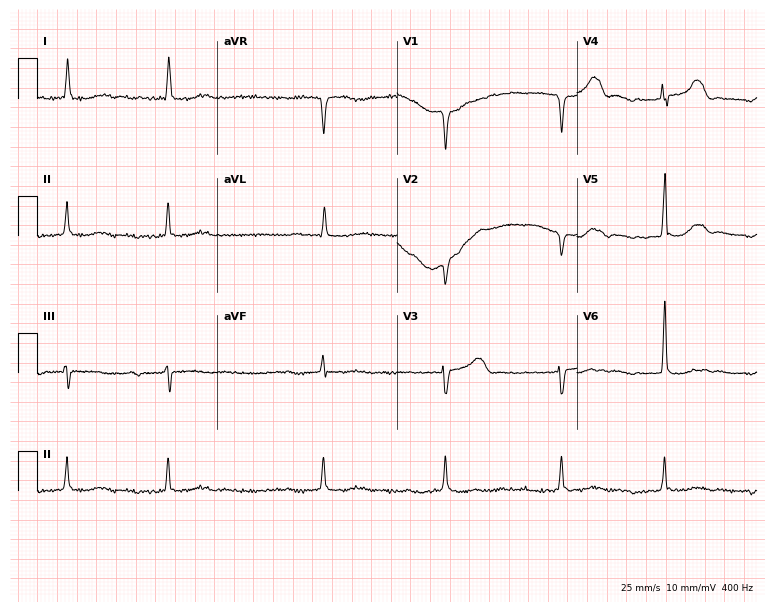
12-lead ECG from a woman, 81 years old. Screened for six findings — first-degree AV block, right bundle branch block, left bundle branch block, sinus bradycardia, atrial fibrillation, sinus tachycardia — none is recorded. Findings outside these six are not listed.